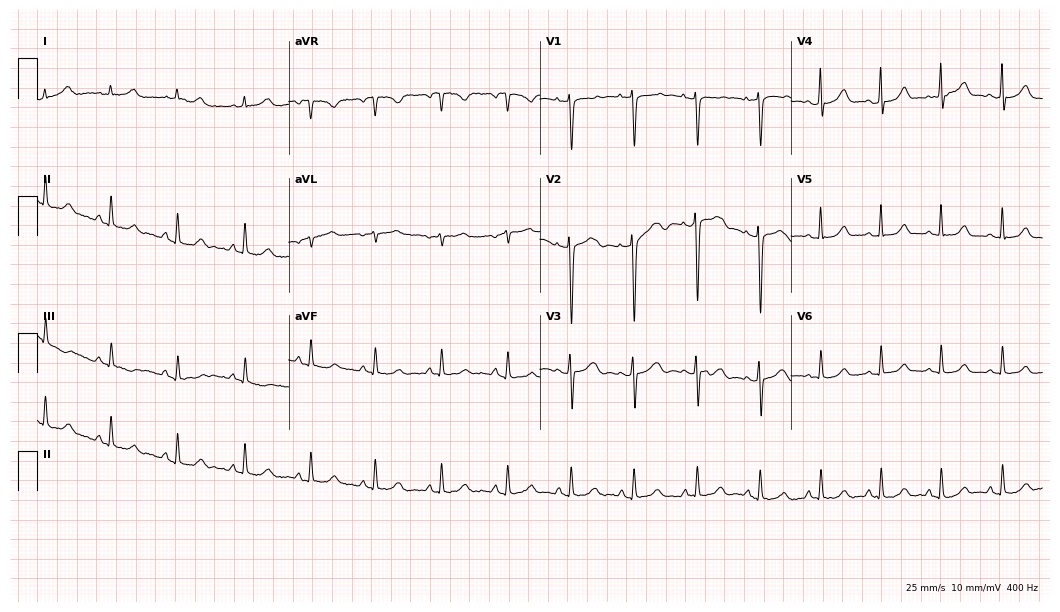
ECG (10.2-second recording at 400 Hz) — a 30-year-old woman. Labelled as a normal ECG.